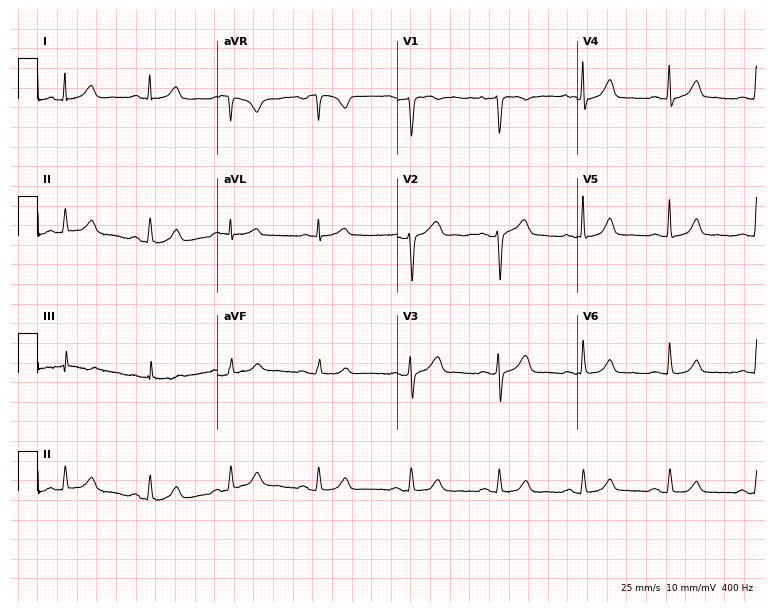
12-lead ECG from a 49-year-old woman. No first-degree AV block, right bundle branch block, left bundle branch block, sinus bradycardia, atrial fibrillation or sinus tachycardia recorded for this tracing.